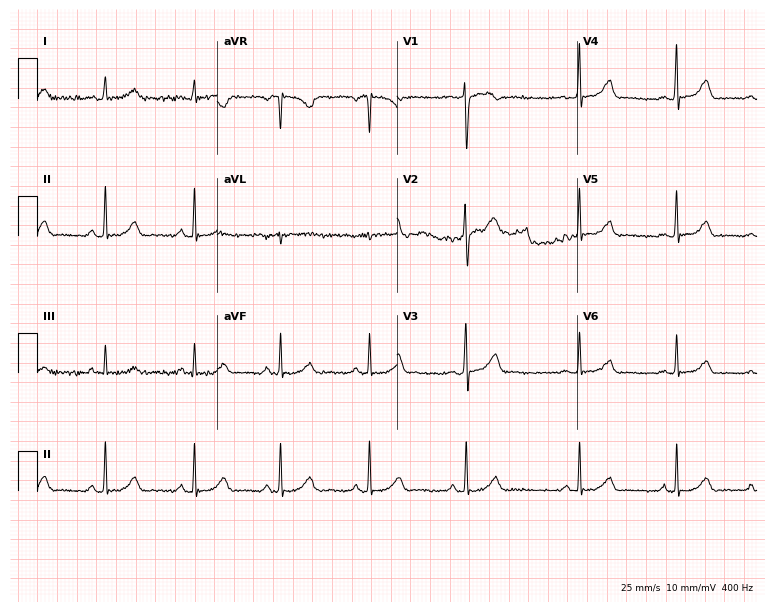
Resting 12-lead electrocardiogram. Patient: a woman, 29 years old. Read as a normal ECG.